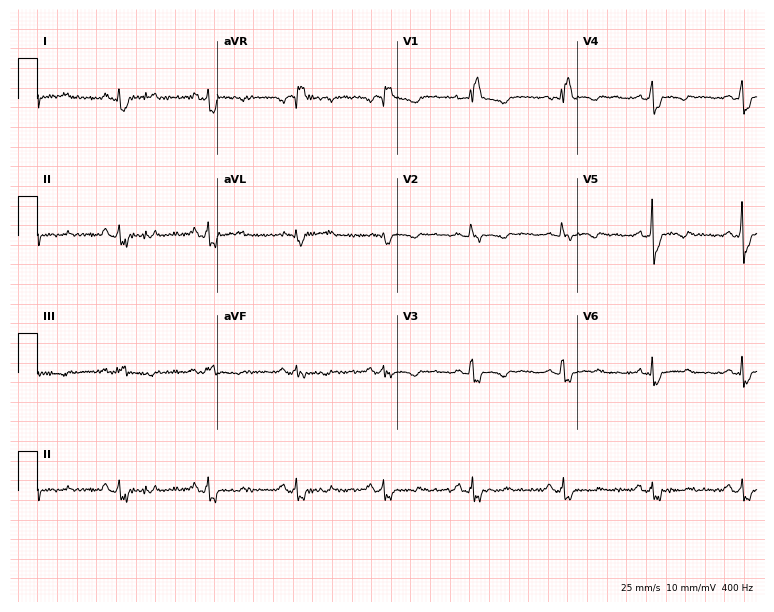
ECG (7.3-second recording at 400 Hz) — a 61-year-old woman. Findings include right bundle branch block (RBBB).